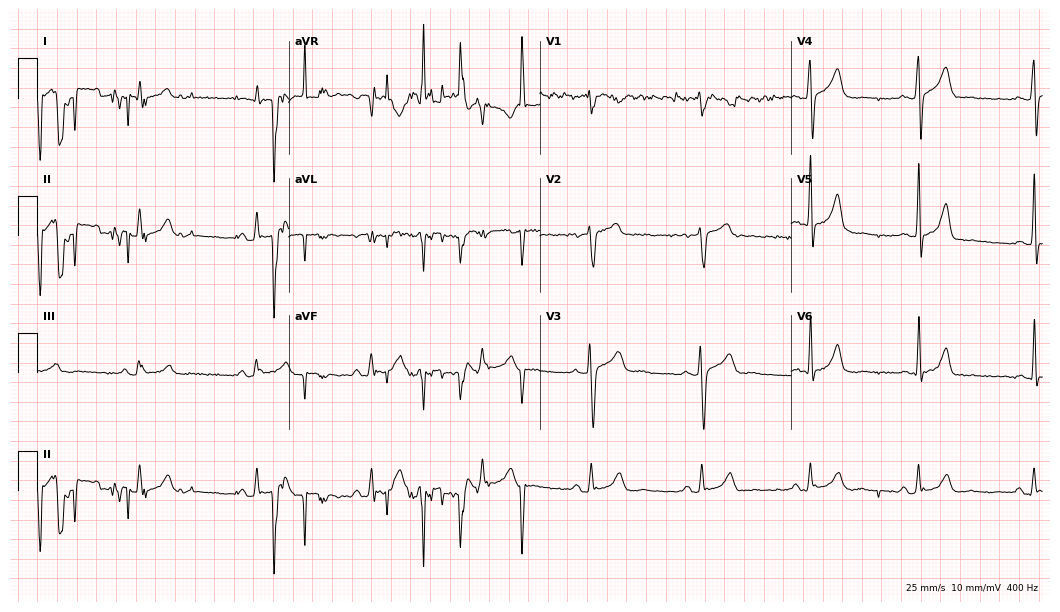
ECG (10.2-second recording at 400 Hz) — a male patient, 60 years old. Screened for six findings — first-degree AV block, right bundle branch block (RBBB), left bundle branch block (LBBB), sinus bradycardia, atrial fibrillation (AF), sinus tachycardia — none is recorded. Other findings, if any, are not listed.